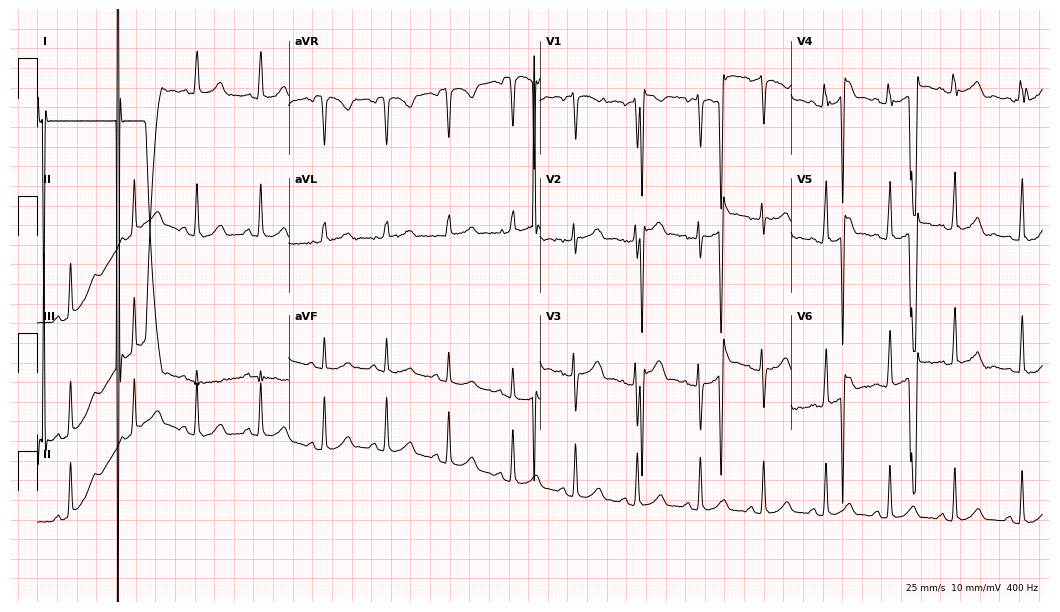
ECG — a 24-year-old female. Screened for six findings — first-degree AV block, right bundle branch block, left bundle branch block, sinus bradycardia, atrial fibrillation, sinus tachycardia — none is recorded. Only these six findings were labelled.